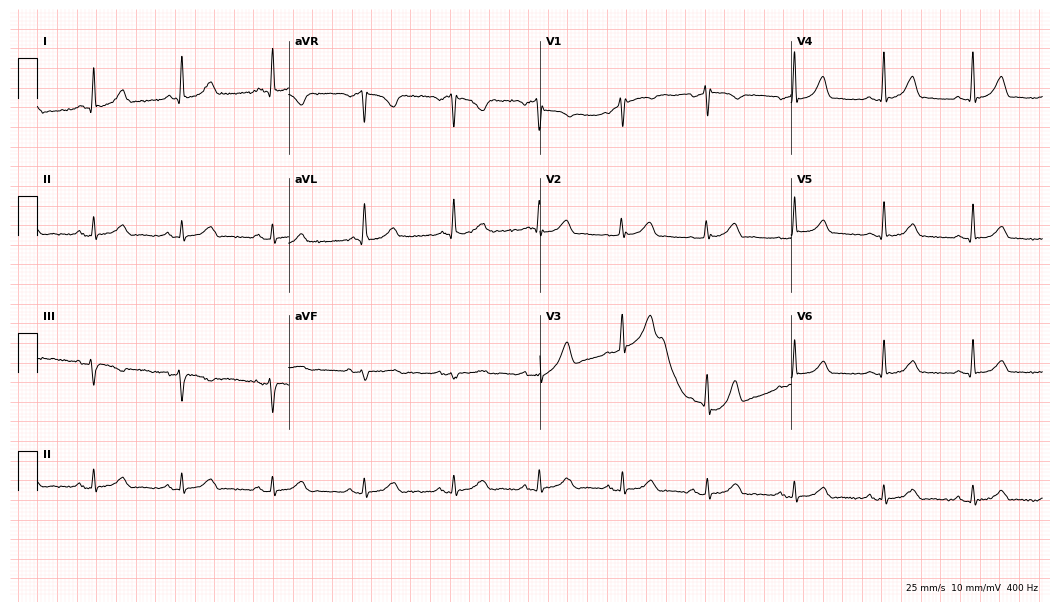
Standard 12-lead ECG recorded from a woman, 73 years old (10.2-second recording at 400 Hz). Read as a normal ECG.